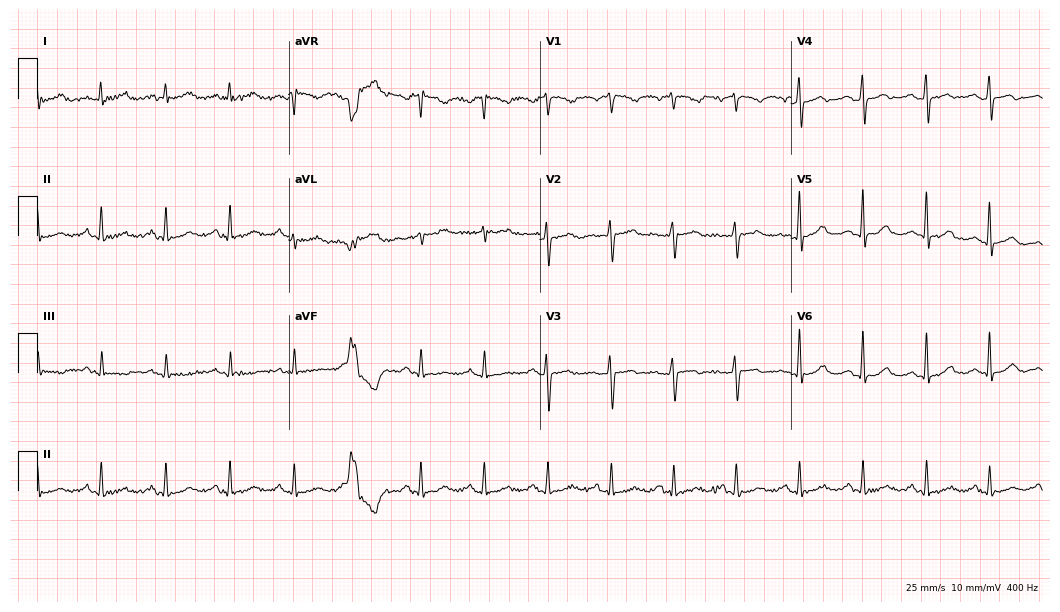
12-lead ECG from a 57-year-old woman (10.2-second recording at 400 Hz). No first-degree AV block, right bundle branch block (RBBB), left bundle branch block (LBBB), sinus bradycardia, atrial fibrillation (AF) or sinus tachycardia recorded for this tracing. Only these six findings were labelled.